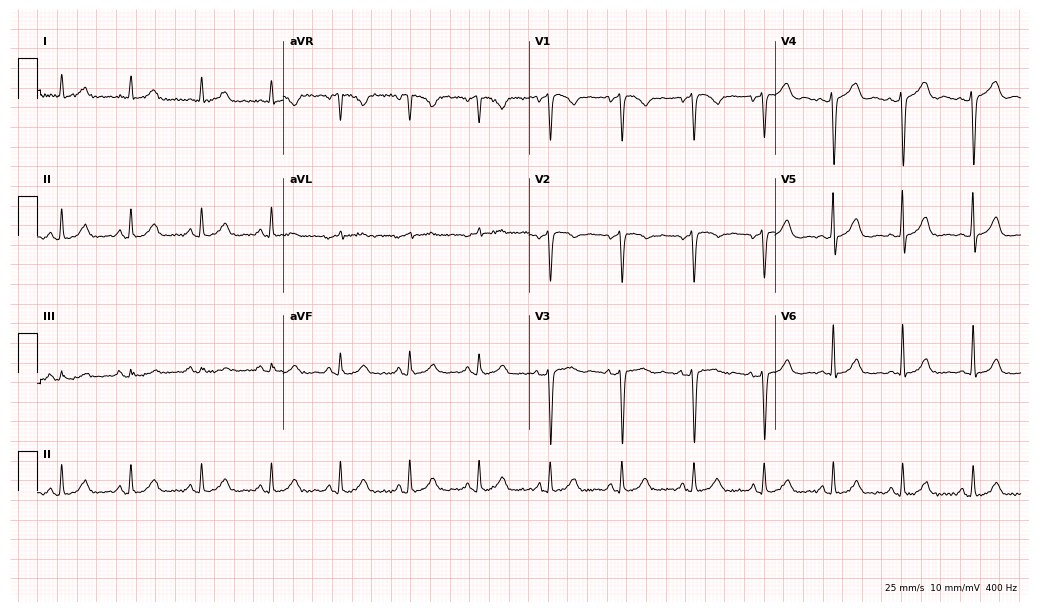
Resting 12-lead electrocardiogram (10-second recording at 400 Hz). Patient: a 55-year-old female. Read as a normal ECG.